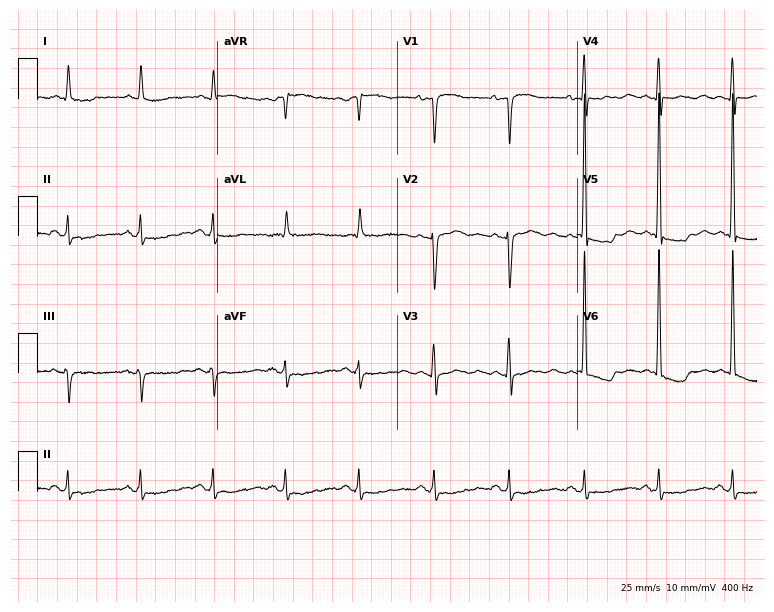
Resting 12-lead electrocardiogram. Patient: a 71-year-old woman. Read as a normal ECG.